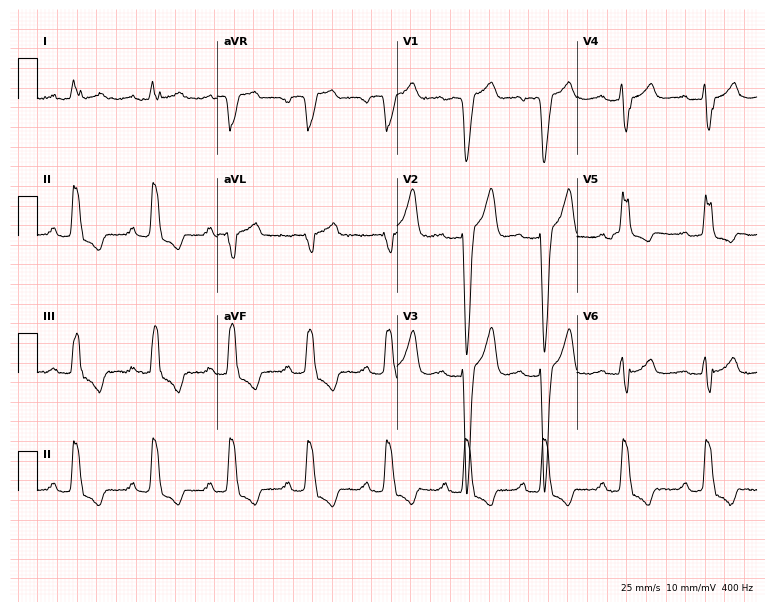
ECG (7.3-second recording at 400 Hz) — a 42-year-old woman. Screened for six findings — first-degree AV block, right bundle branch block (RBBB), left bundle branch block (LBBB), sinus bradycardia, atrial fibrillation (AF), sinus tachycardia — none is recorded. Other findings, if any, are not listed.